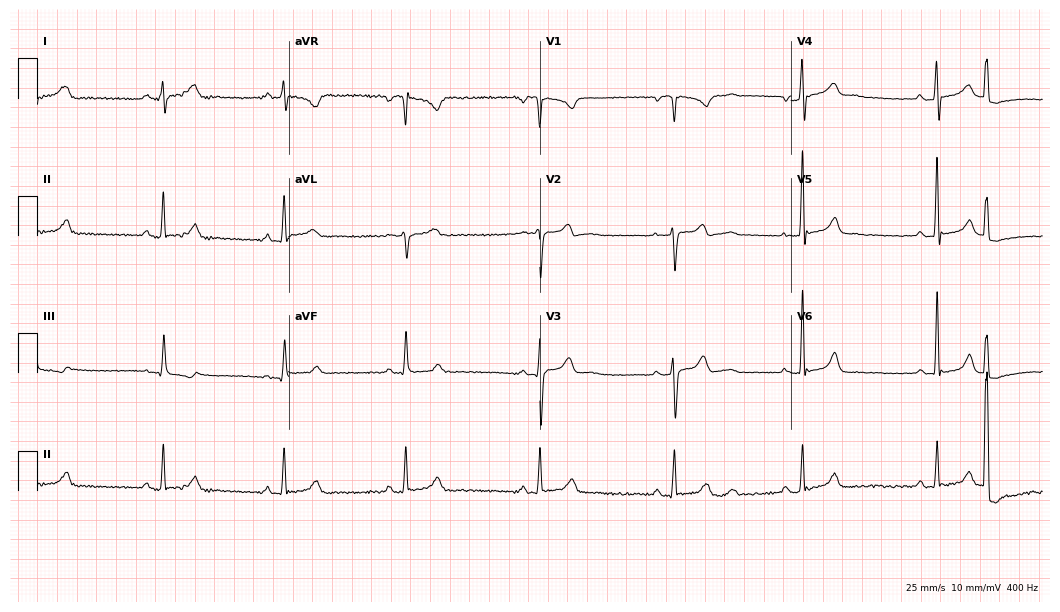
12-lead ECG from a male patient, 40 years old. Findings include sinus bradycardia (a sinus rate of 50 beats per minute or less).